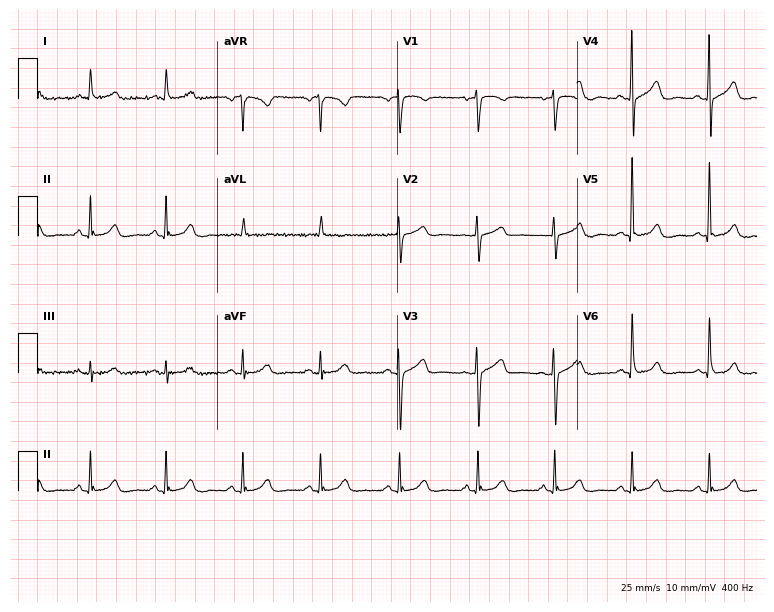
Standard 12-lead ECG recorded from a woman, 58 years old. None of these six findings is recorded: first-degree AV block, right bundle branch block, left bundle branch block, sinus bradycardia, atrial fibrillation, sinus tachycardia.